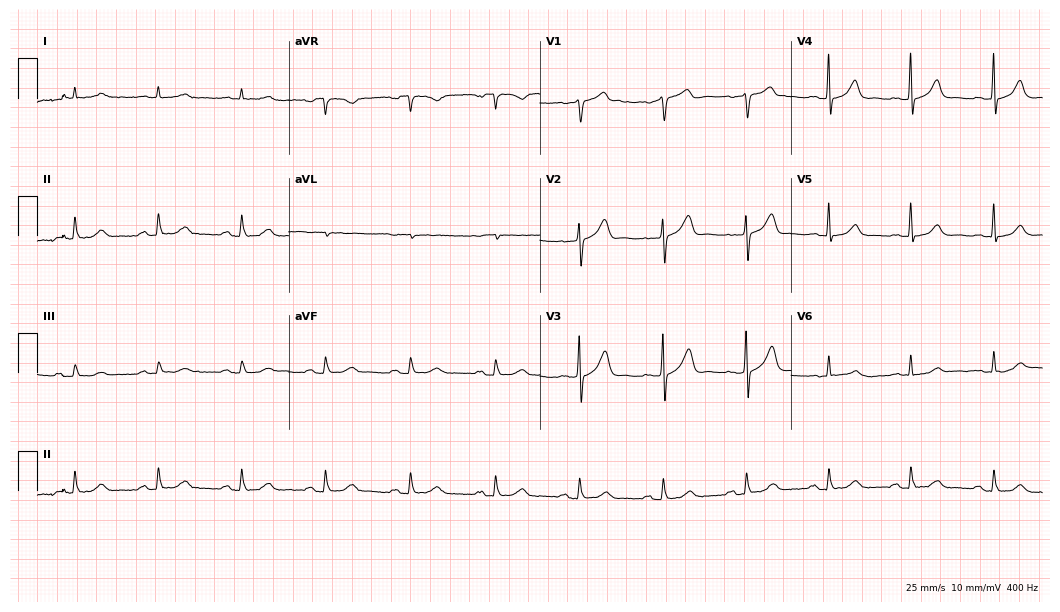
12-lead ECG from a 79-year-old man (10.2-second recording at 400 Hz). Recorded interpretation: within normal limits.